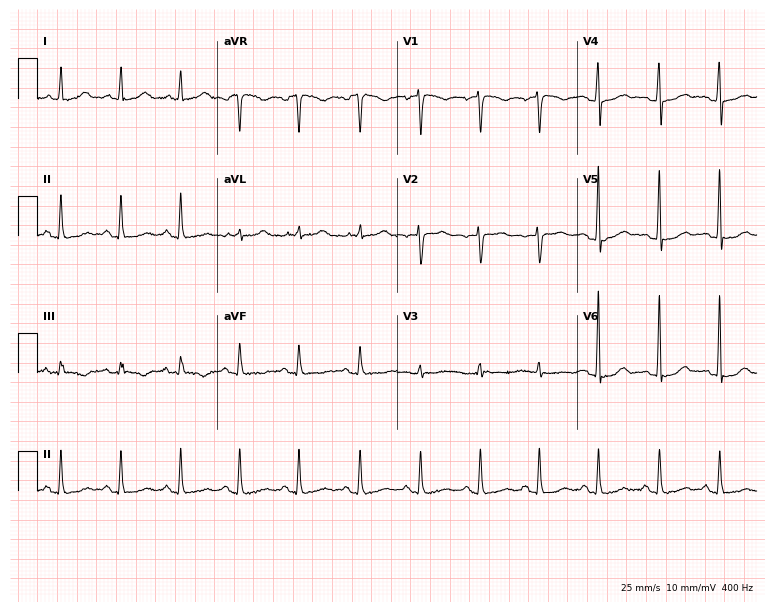
12-lead ECG from a 44-year-old woman. No first-degree AV block, right bundle branch block (RBBB), left bundle branch block (LBBB), sinus bradycardia, atrial fibrillation (AF) or sinus tachycardia recorded for this tracing.